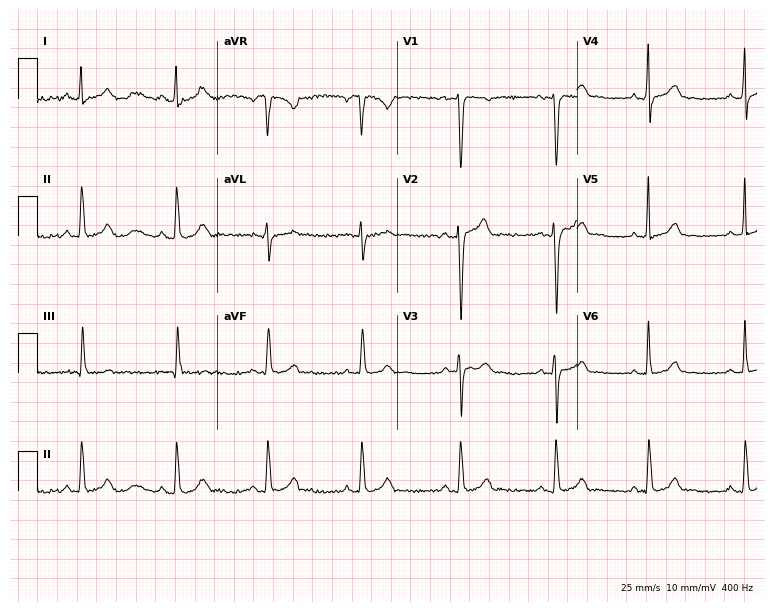
Standard 12-lead ECG recorded from a male, 30 years old (7.3-second recording at 400 Hz). None of these six findings is recorded: first-degree AV block, right bundle branch block, left bundle branch block, sinus bradycardia, atrial fibrillation, sinus tachycardia.